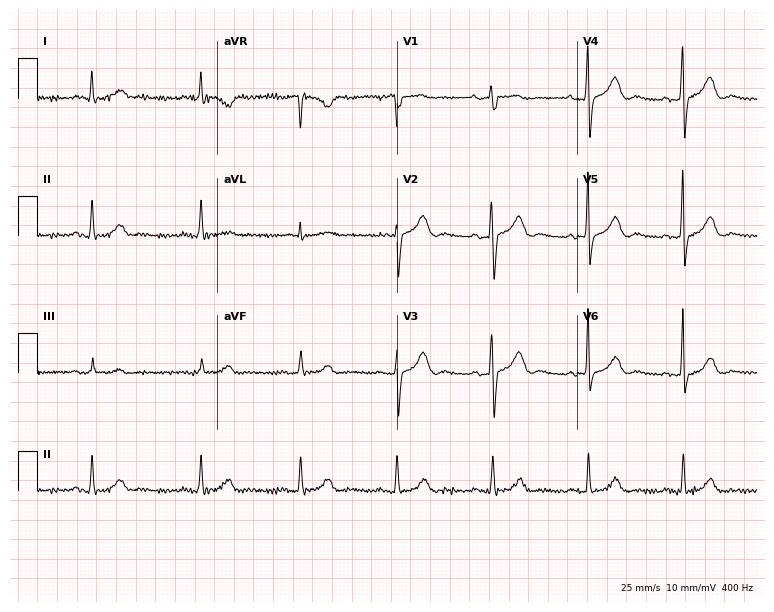
Electrocardiogram (7.3-second recording at 400 Hz), a female, 61 years old. Overall reading on record: normal ECG.